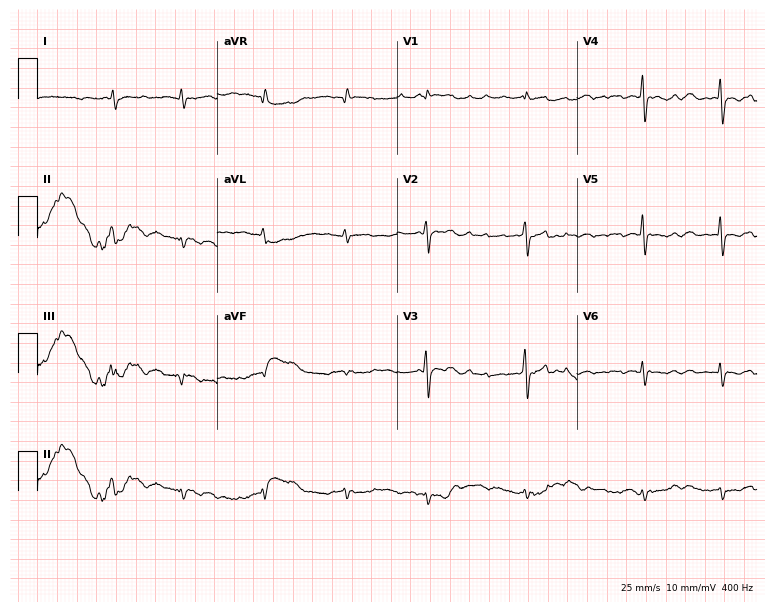
Standard 12-lead ECG recorded from a man, 83 years old (7.3-second recording at 400 Hz). The tracing shows atrial fibrillation (AF).